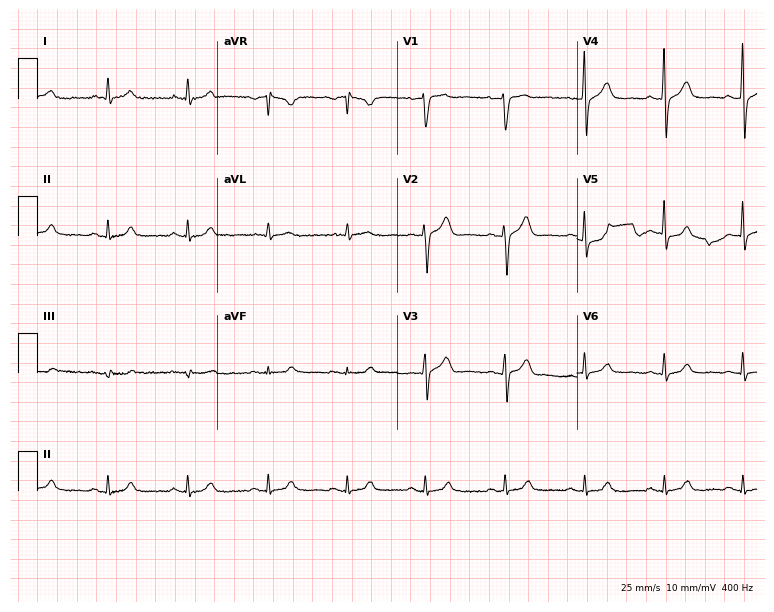
12-lead ECG from a female, 59 years old (7.3-second recording at 400 Hz). Recorded interpretation: within normal limits.